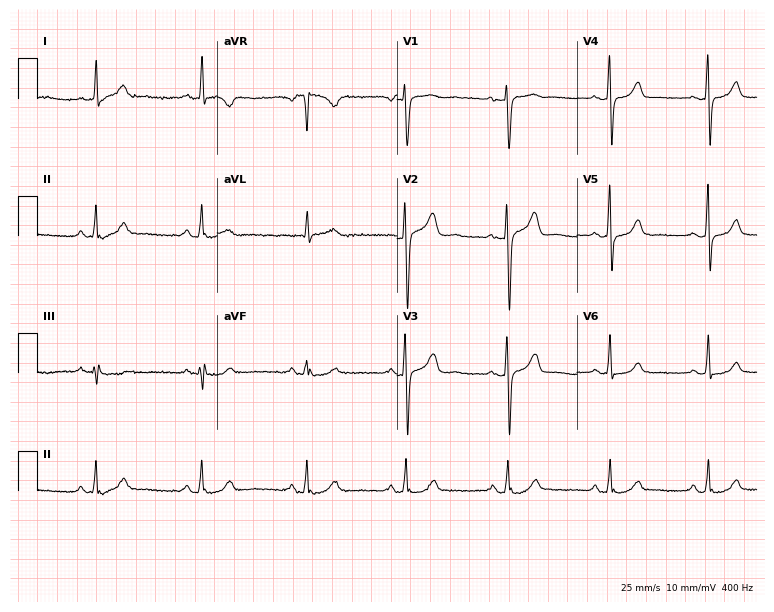
12-lead ECG from a woman, 42 years old. No first-degree AV block, right bundle branch block (RBBB), left bundle branch block (LBBB), sinus bradycardia, atrial fibrillation (AF) or sinus tachycardia recorded for this tracing. Findings outside these six are not listed.